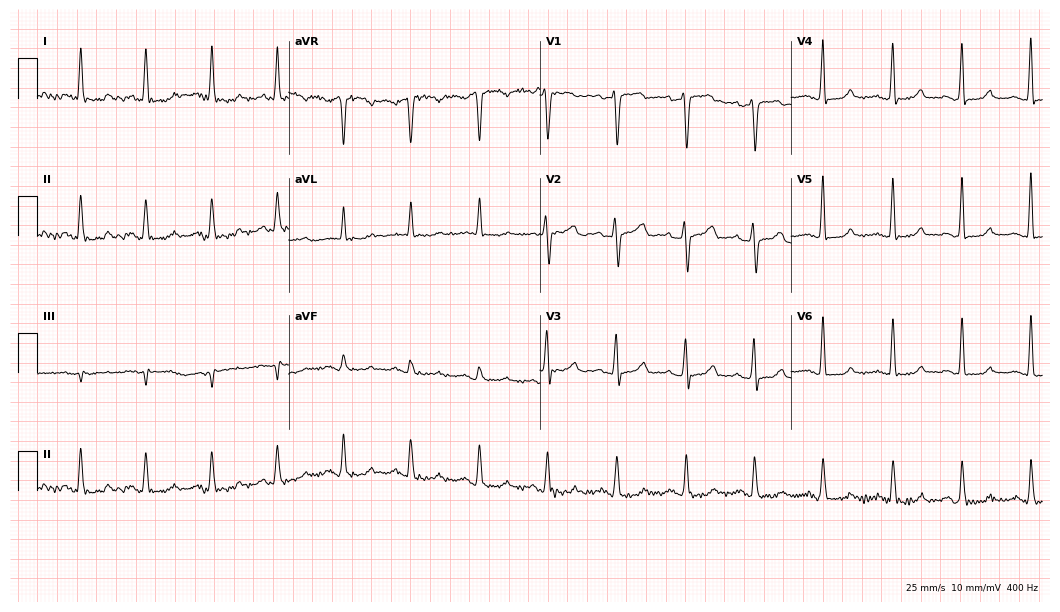
12-lead ECG from a female, 51 years old. Recorded interpretation: within normal limits.